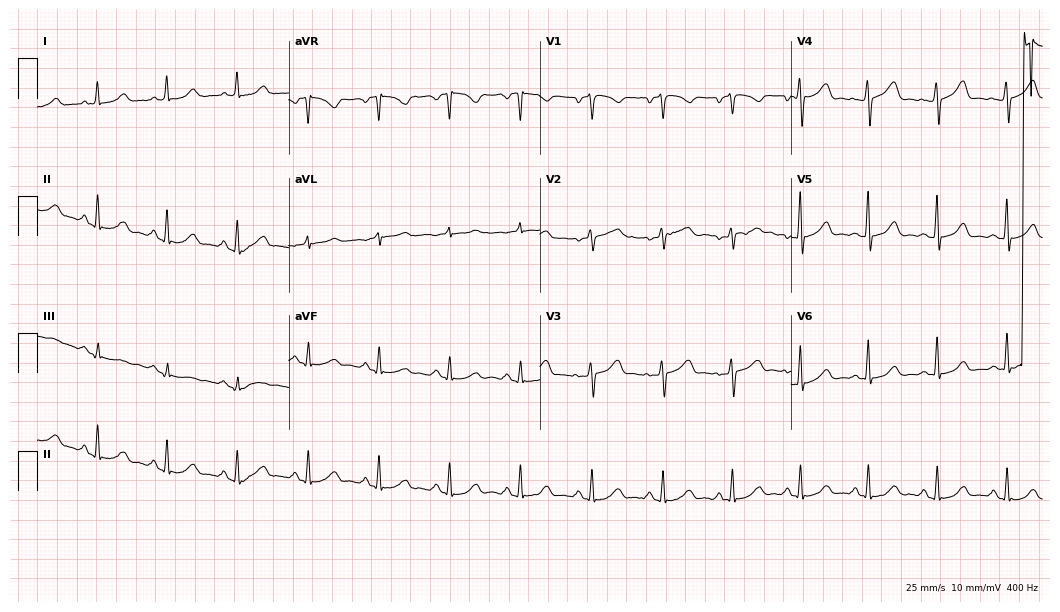
12-lead ECG from a woman, 46 years old. Findings include sinus tachycardia (a sinus rate of 100 beats per minute or more).